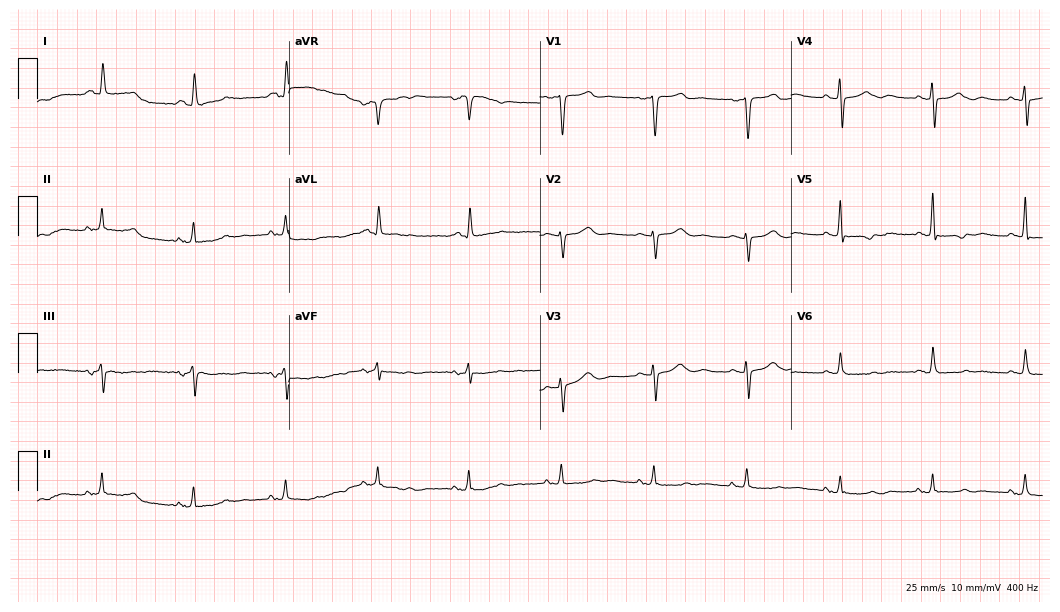
ECG (10.2-second recording at 400 Hz) — a female, 58 years old. Labelled as a normal ECG.